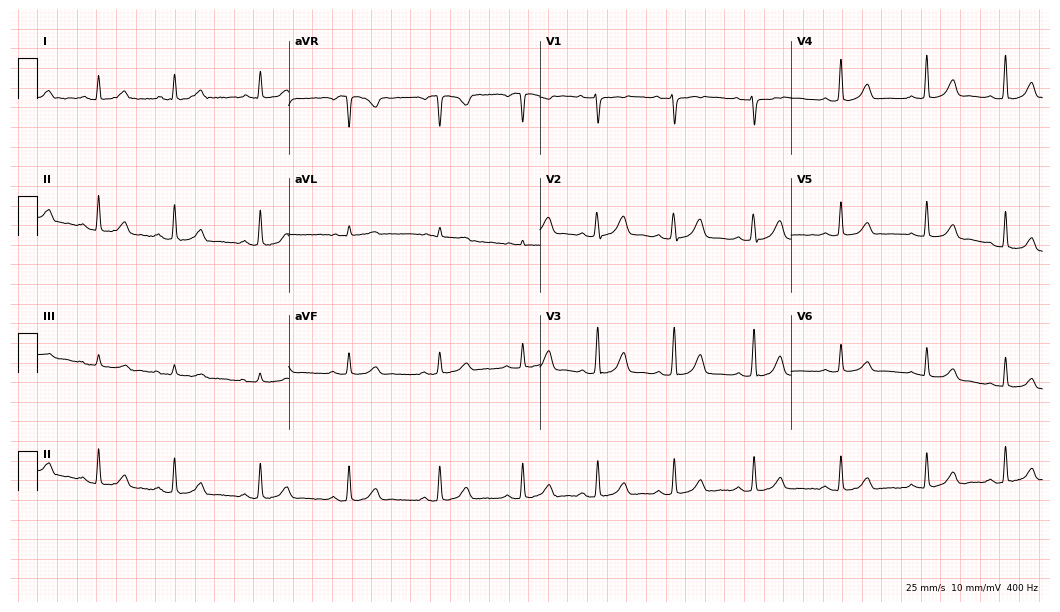
Resting 12-lead electrocardiogram (10.2-second recording at 400 Hz). Patient: a female, 39 years old. Read as a normal ECG.